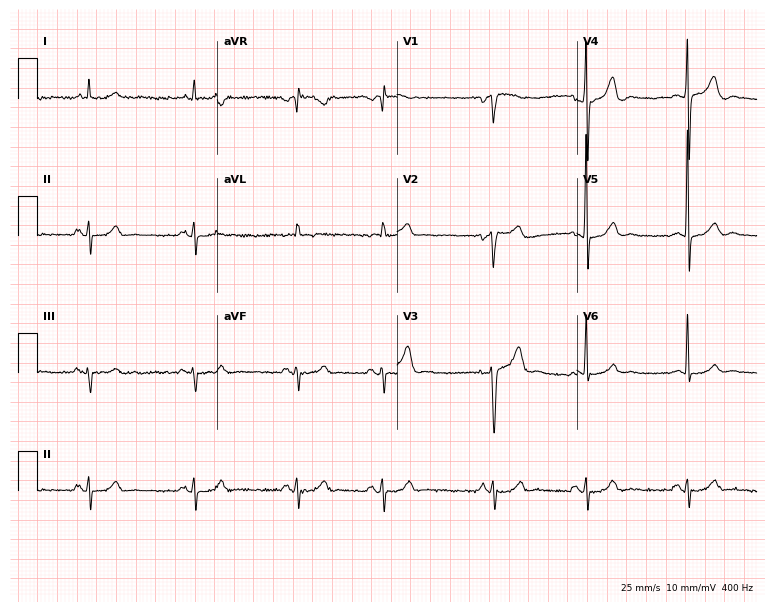
12-lead ECG from a 62-year-old male patient. Labelled as a normal ECG.